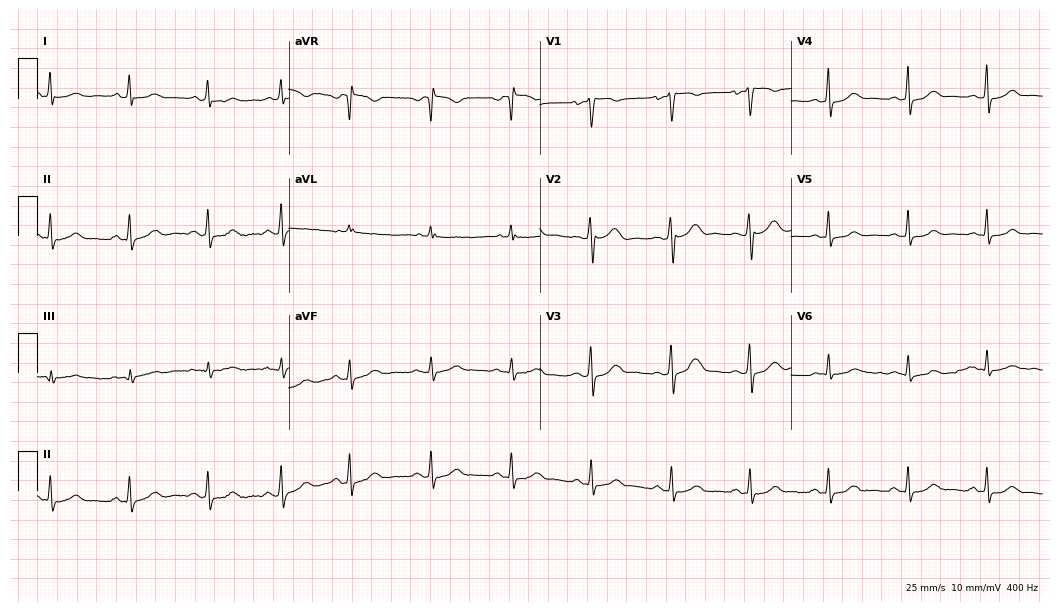
12-lead ECG (10.2-second recording at 400 Hz) from a 31-year-old female patient. Labelled as a normal ECG.